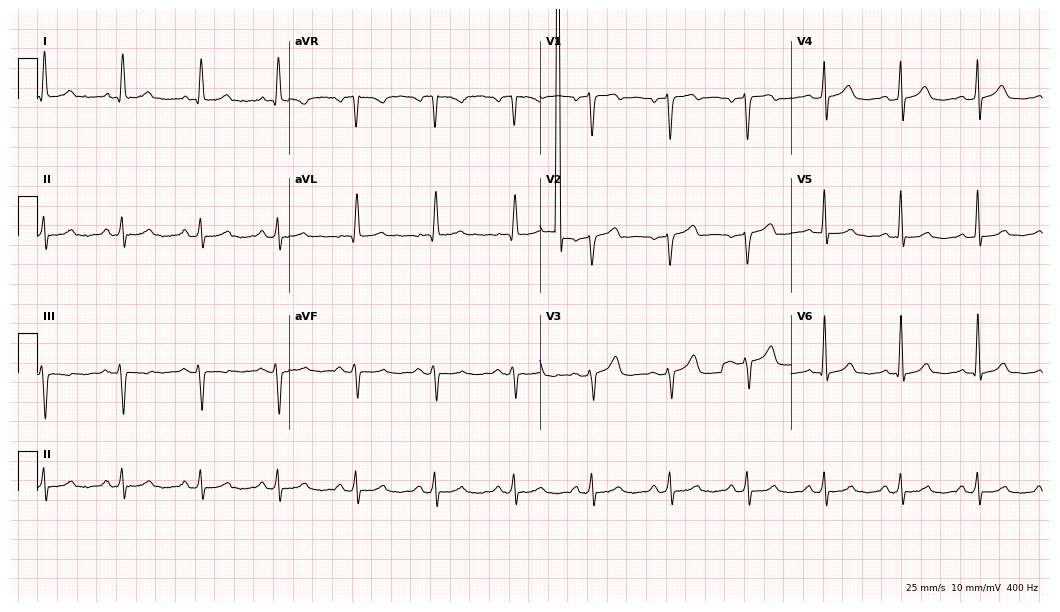
Resting 12-lead electrocardiogram (10.2-second recording at 400 Hz). Patient: a 53-year-old woman. None of these six findings is recorded: first-degree AV block, right bundle branch block, left bundle branch block, sinus bradycardia, atrial fibrillation, sinus tachycardia.